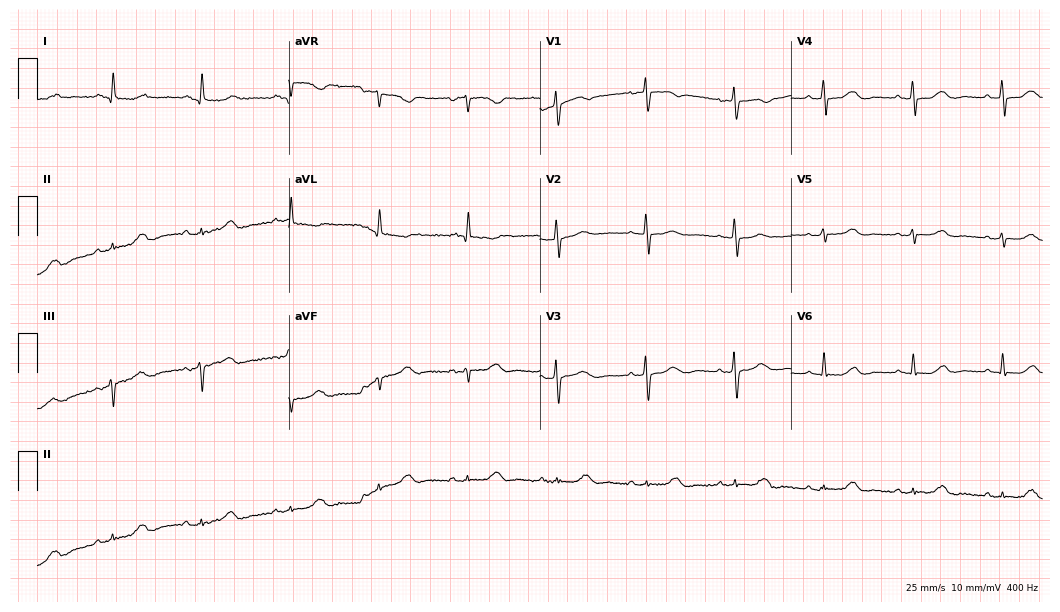
Resting 12-lead electrocardiogram (10.2-second recording at 400 Hz). Patient: a 74-year-old woman. Read as a normal ECG.